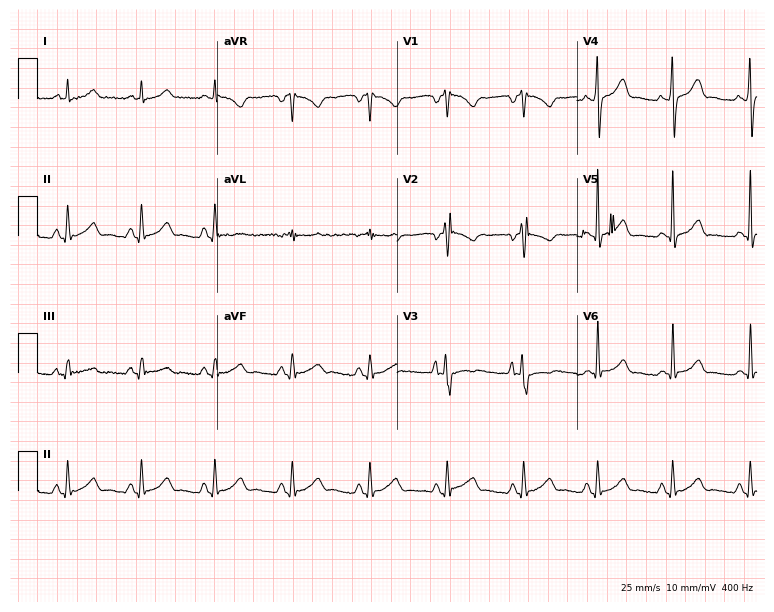
Standard 12-lead ECG recorded from a man, 25 years old (7.3-second recording at 400 Hz). None of these six findings is recorded: first-degree AV block, right bundle branch block, left bundle branch block, sinus bradycardia, atrial fibrillation, sinus tachycardia. Only these six findings were labelled.